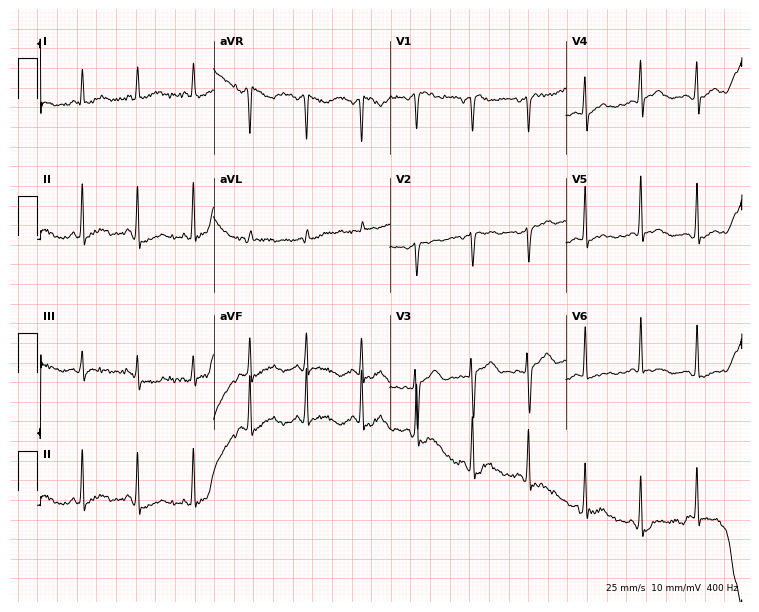
ECG (7.2-second recording at 400 Hz) — a female, 44 years old. Findings include sinus tachycardia (a sinus rate of 100 beats per minute or more).